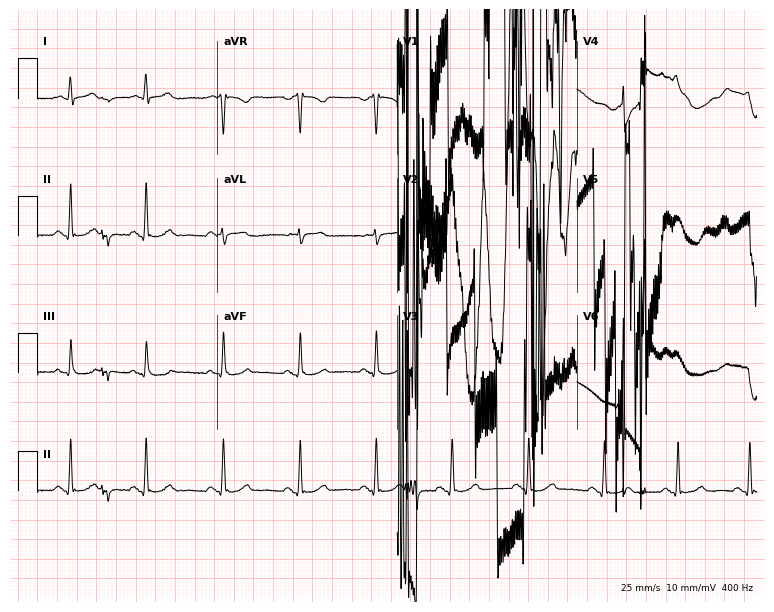
Standard 12-lead ECG recorded from a 44-year-old male. None of these six findings is recorded: first-degree AV block, right bundle branch block, left bundle branch block, sinus bradycardia, atrial fibrillation, sinus tachycardia.